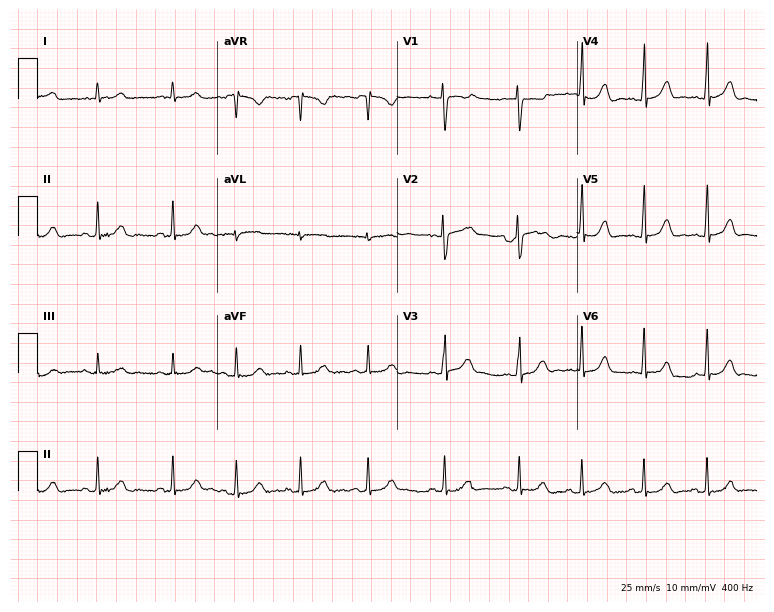
12-lead ECG from a female, 18 years old (7.3-second recording at 400 Hz). Recorded interpretation: within normal limits.